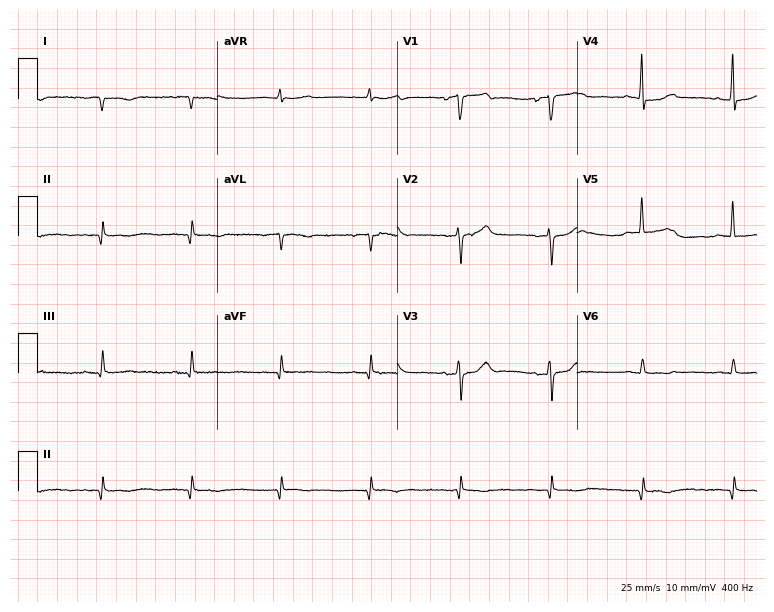
12-lead ECG from a 68-year-old female (7.3-second recording at 400 Hz). No first-degree AV block, right bundle branch block, left bundle branch block, sinus bradycardia, atrial fibrillation or sinus tachycardia recorded for this tracing.